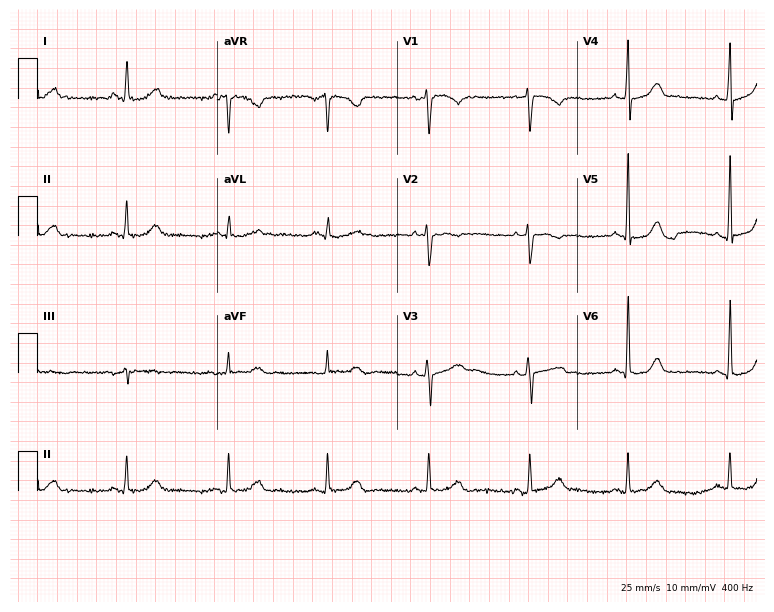
Standard 12-lead ECG recorded from a female patient, 39 years old (7.3-second recording at 400 Hz). None of these six findings is recorded: first-degree AV block, right bundle branch block (RBBB), left bundle branch block (LBBB), sinus bradycardia, atrial fibrillation (AF), sinus tachycardia.